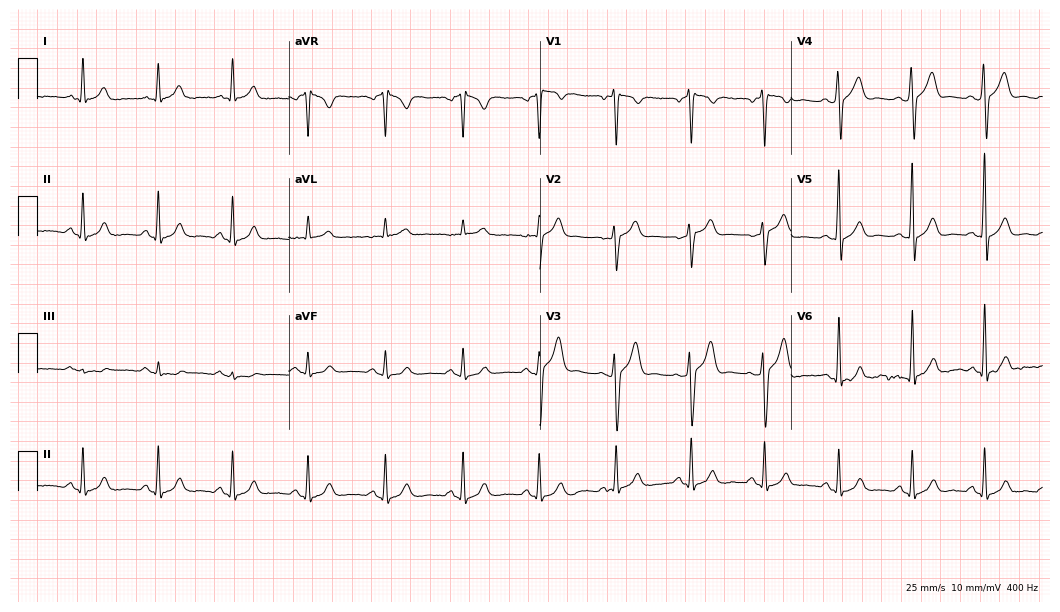
Standard 12-lead ECG recorded from a man, 55 years old. Read as a normal ECG.